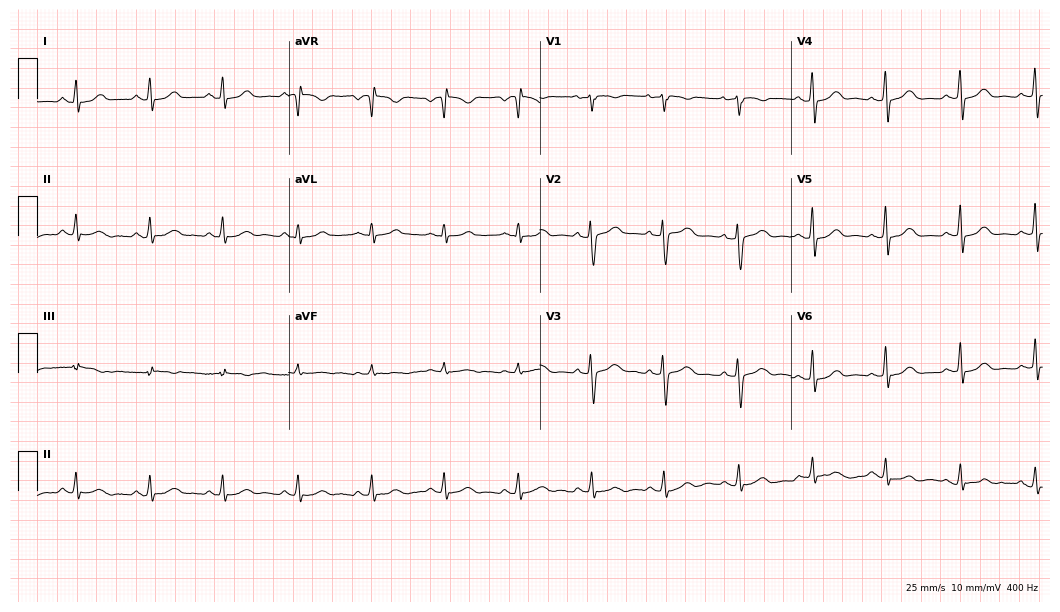
Resting 12-lead electrocardiogram. Patient: a female, 28 years old. Read as a normal ECG.